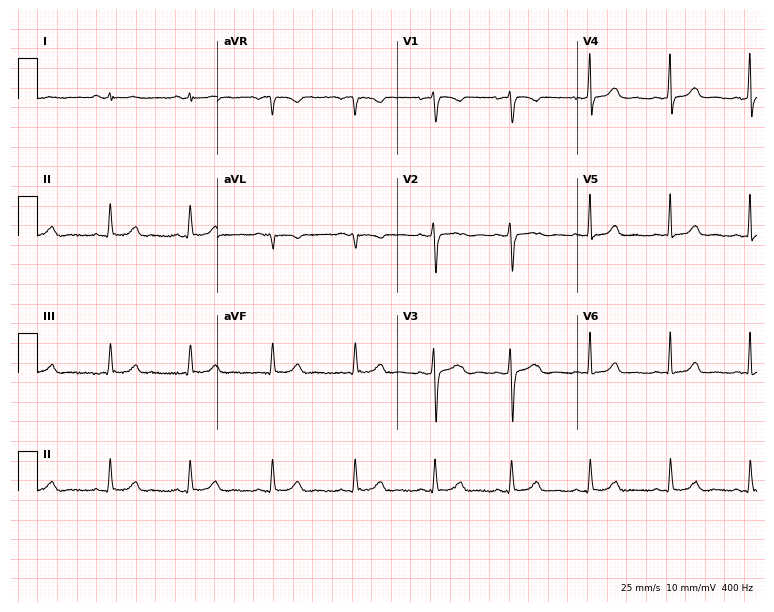
12-lead ECG from a 26-year-old female (7.3-second recording at 400 Hz). Recorded interpretation: within normal limits.